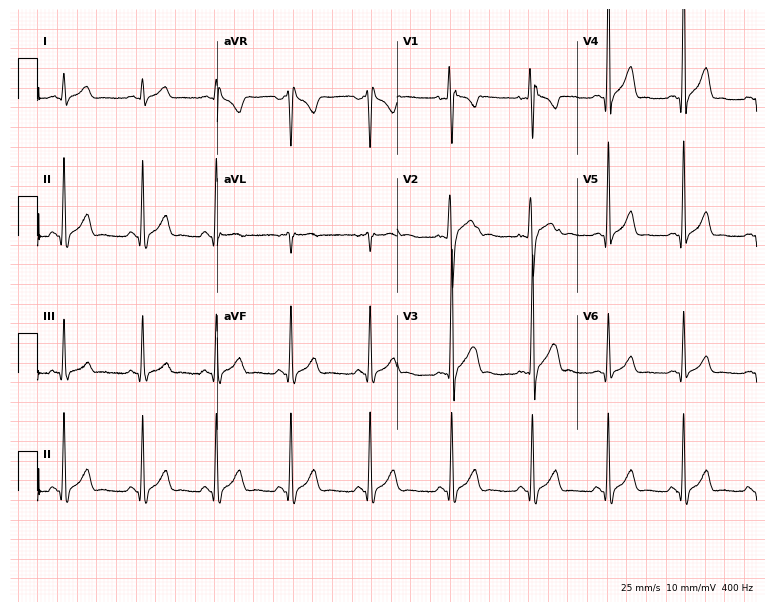
Standard 12-lead ECG recorded from an 18-year-old man. None of these six findings is recorded: first-degree AV block, right bundle branch block (RBBB), left bundle branch block (LBBB), sinus bradycardia, atrial fibrillation (AF), sinus tachycardia. Findings outside these six are not listed.